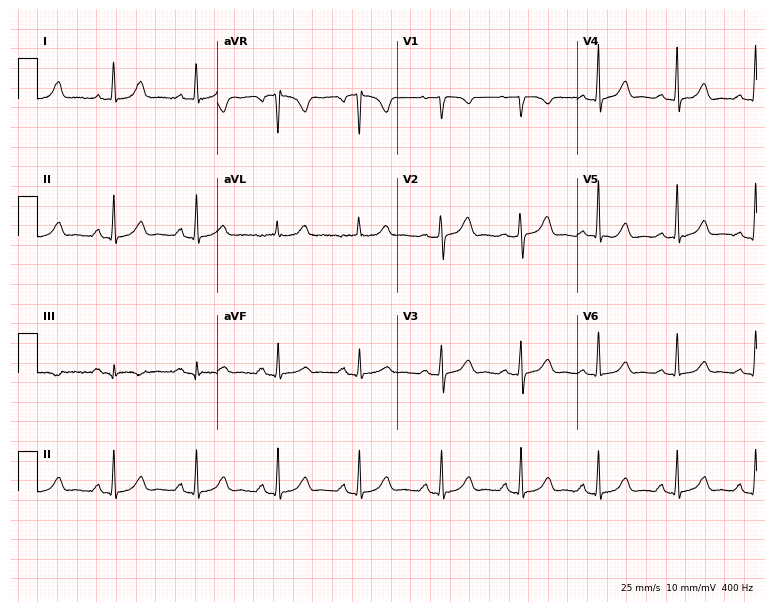
12-lead ECG from a 59-year-old female (7.3-second recording at 400 Hz). Recorded interpretation: within normal limits.